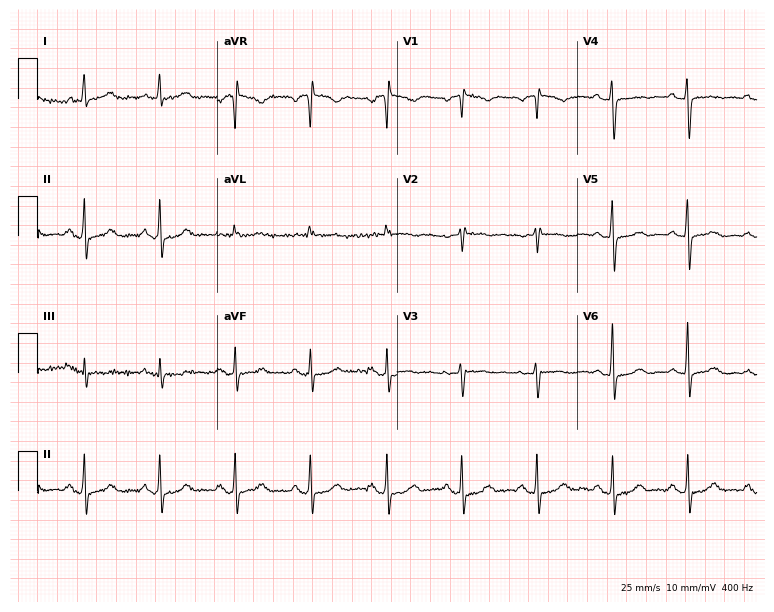
12-lead ECG from a female patient, 80 years old. Labelled as a normal ECG.